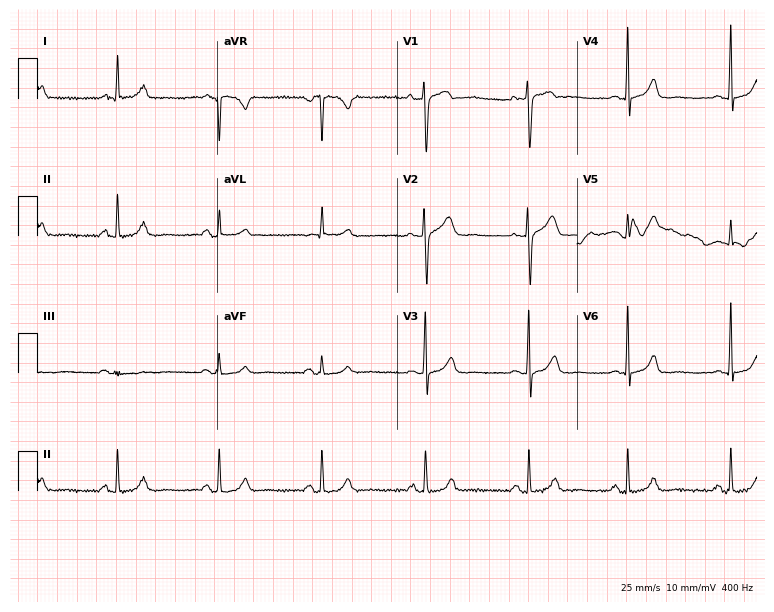
12-lead ECG from a female, 54 years old (7.3-second recording at 400 Hz). No first-degree AV block, right bundle branch block (RBBB), left bundle branch block (LBBB), sinus bradycardia, atrial fibrillation (AF) or sinus tachycardia recorded for this tracing.